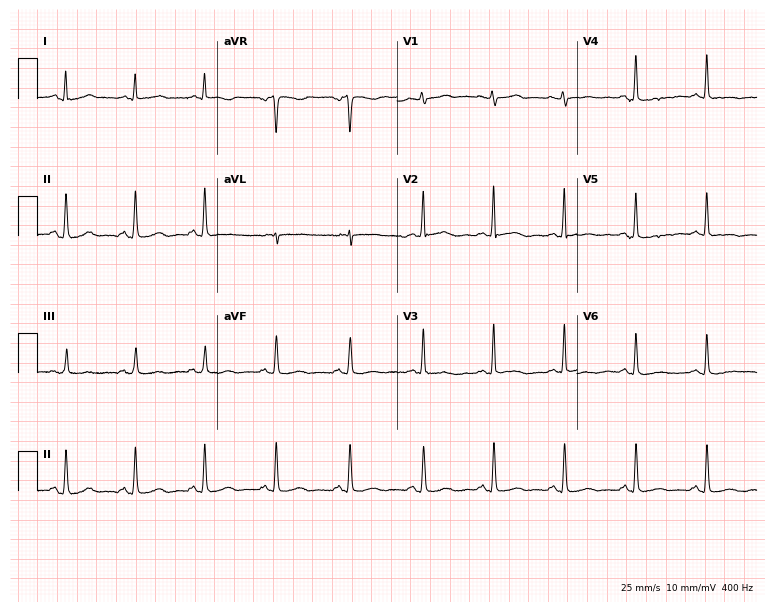
Resting 12-lead electrocardiogram (7.3-second recording at 400 Hz). Patient: a 45-year-old woman. None of these six findings is recorded: first-degree AV block, right bundle branch block, left bundle branch block, sinus bradycardia, atrial fibrillation, sinus tachycardia.